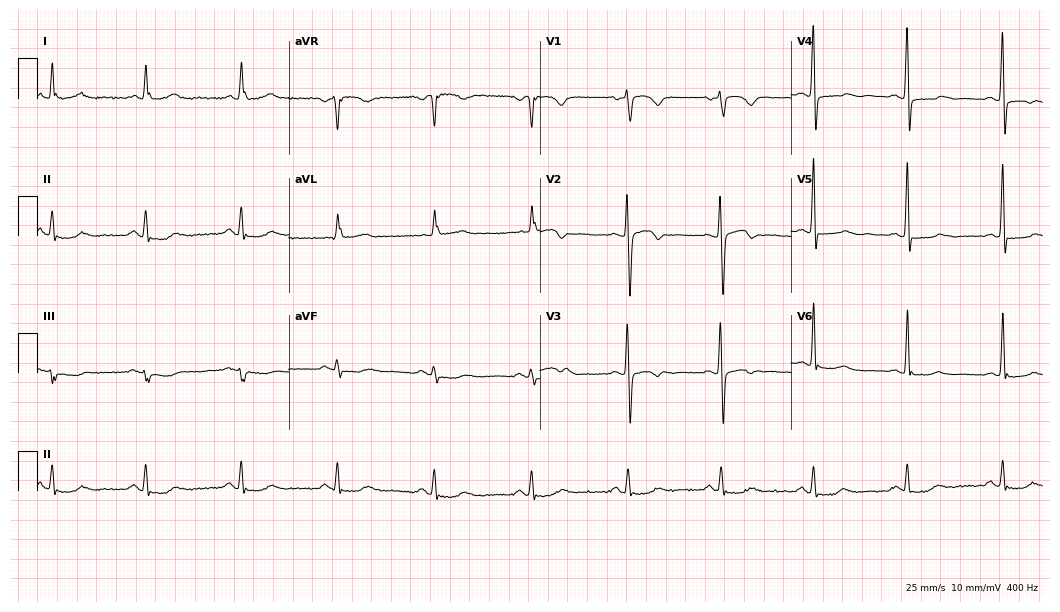
Standard 12-lead ECG recorded from a 70-year-old woman. None of these six findings is recorded: first-degree AV block, right bundle branch block, left bundle branch block, sinus bradycardia, atrial fibrillation, sinus tachycardia. Findings outside these six are not listed.